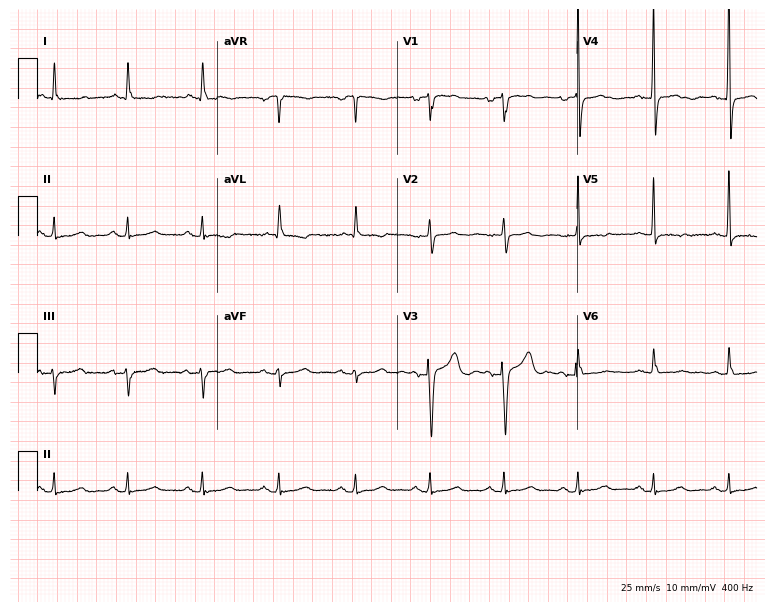
Standard 12-lead ECG recorded from a female, 63 years old. None of these six findings is recorded: first-degree AV block, right bundle branch block, left bundle branch block, sinus bradycardia, atrial fibrillation, sinus tachycardia. Findings outside these six are not listed.